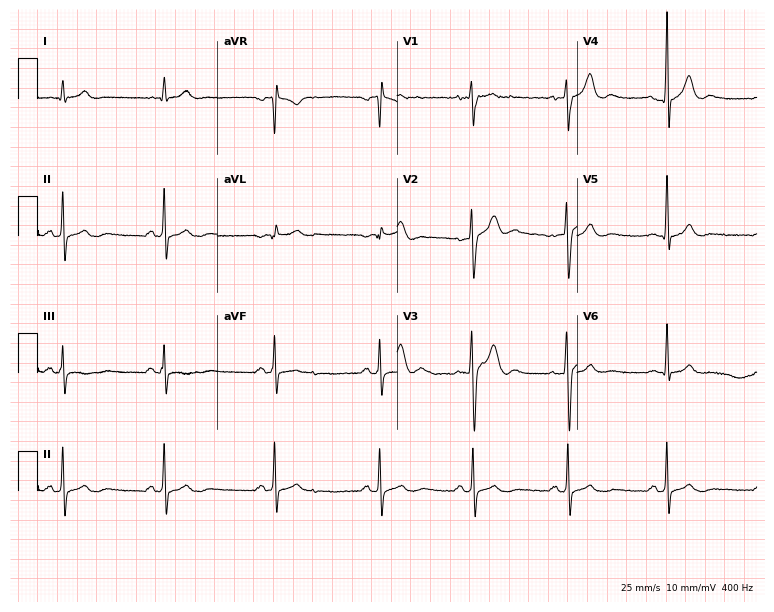
ECG — a male, 22 years old. Screened for six findings — first-degree AV block, right bundle branch block, left bundle branch block, sinus bradycardia, atrial fibrillation, sinus tachycardia — none is recorded.